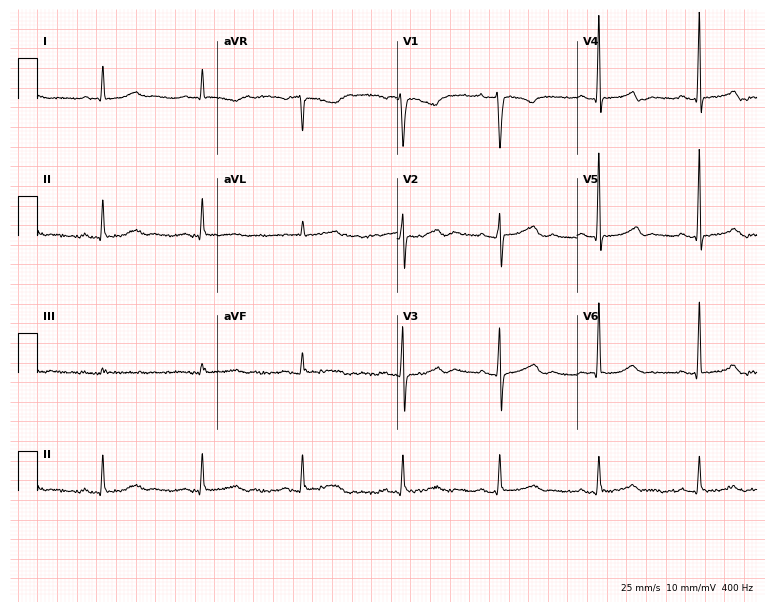
ECG — a male, 73 years old. Screened for six findings — first-degree AV block, right bundle branch block (RBBB), left bundle branch block (LBBB), sinus bradycardia, atrial fibrillation (AF), sinus tachycardia — none is recorded.